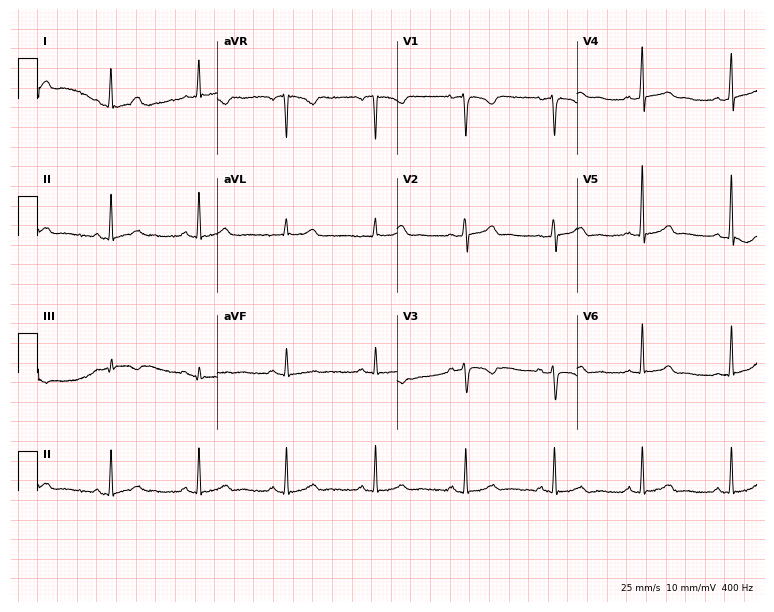
Standard 12-lead ECG recorded from a female patient, 29 years old. None of these six findings is recorded: first-degree AV block, right bundle branch block, left bundle branch block, sinus bradycardia, atrial fibrillation, sinus tachycardia. Other findings, if any, are not listed.